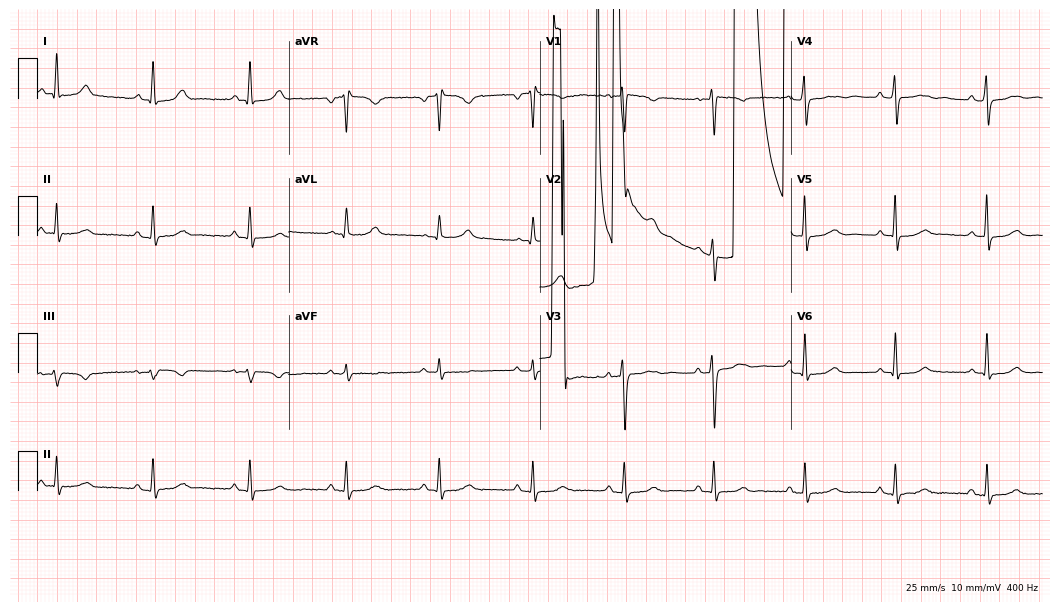
Resting 12-lead electrocardiogram (10.2-second recording at 400 Hz). Patient: a 52-year-old female. None of these six findings is recorded: first-degree AV block, right bundle branch block, left bundle branch block, sinus bradycardia, atrial fibrillation, sinus tachycardia. Only these six findings were labelled.